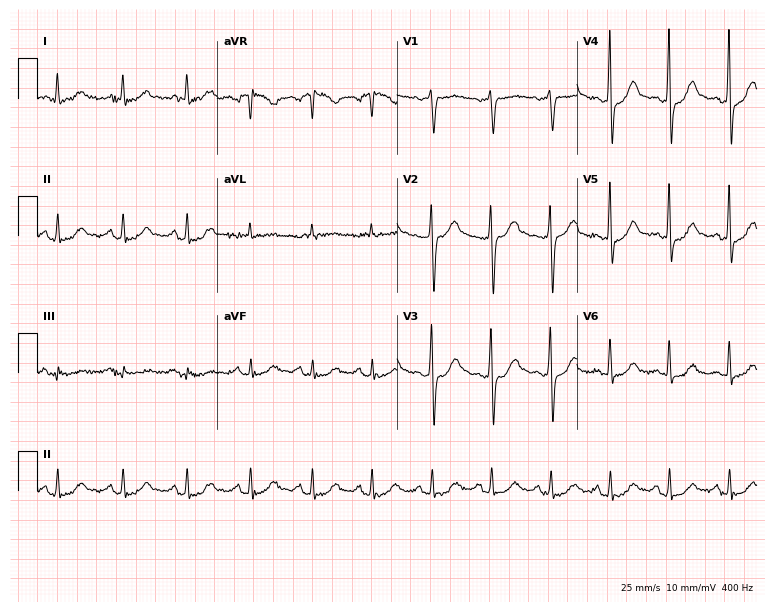
12-lead ECG from a woman, 44 years old (7.3-second recording at 400 Hz). Recorded interpretation: within normal limits.